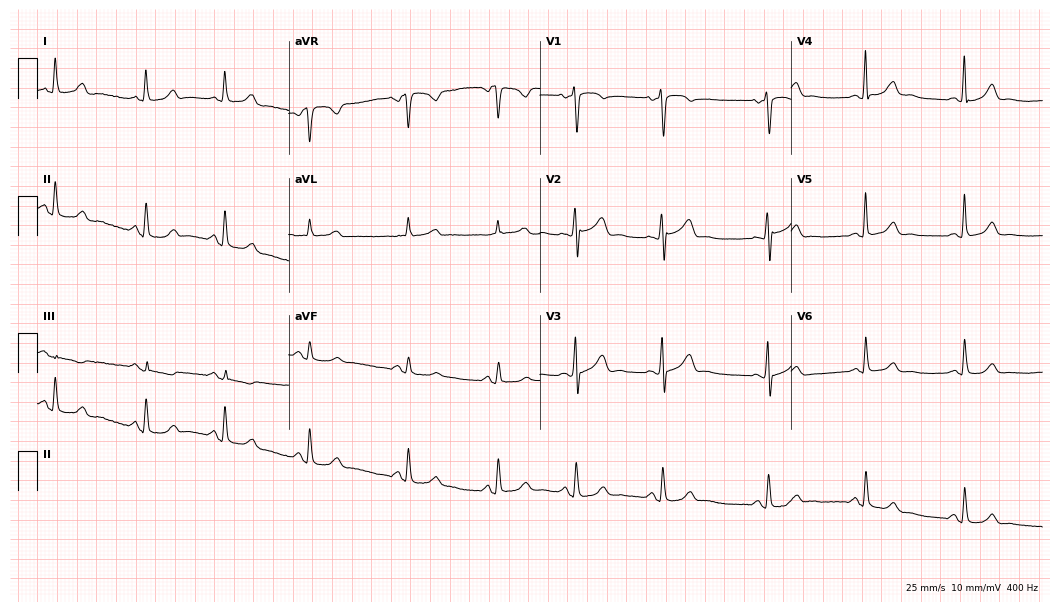
Electrocardiogram, a female patient, 60 years old. Of the six screened findings (first-degree AV block, right bundle branch block, left bundle branch block, sinus bradycardia, atrial fibrillation, sinus tachycardia), none is recorded. Findings outside these six are not listed.